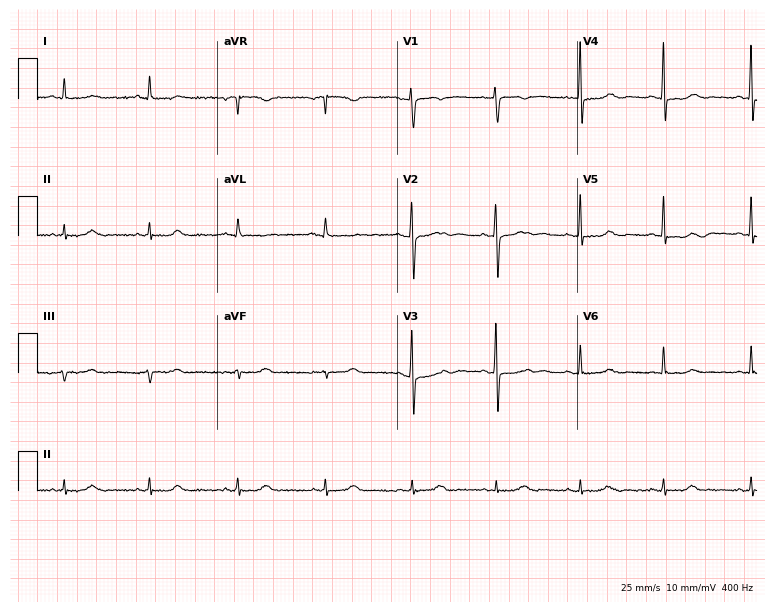
Electrocardiogram (7.3-second recording at 400 Hz), a 60-year-old female patient. Of the six screened findings (first-degree AV block, right bundle branch block (RBBB), left bundle branch block (LBBB), sinus bradycardia, atrial fibrillation (AF), sinus tachycardia), none is recorded.